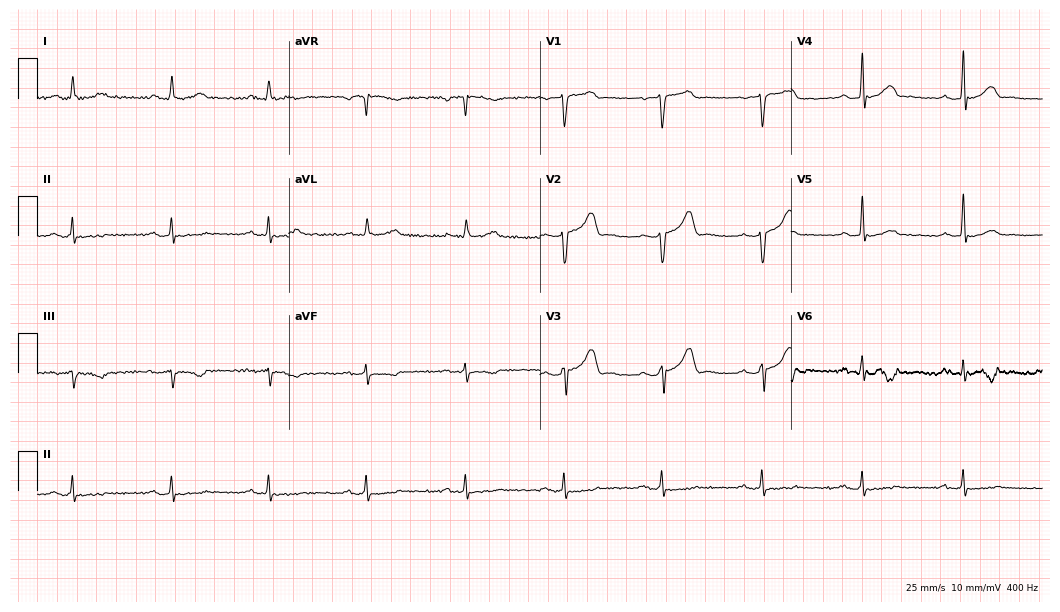
12-lead ECG from a 53-year-old man (10.2-second recording at 400 Hz). No first-degree AV block, right bundle branch block, left bundle branch block, sinus bradycardia, atrial fibrillation or sinus tachycardia recorded for this tracing.